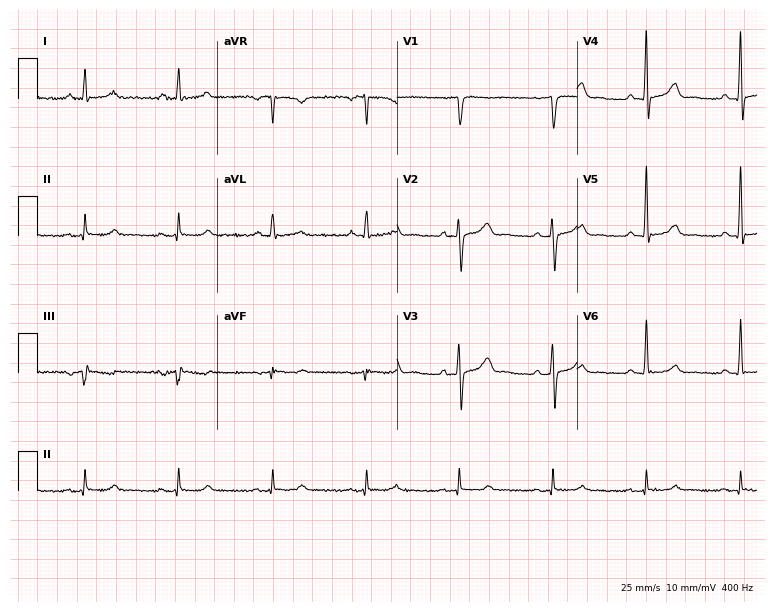
12-lead ECG from a male, 68 years old. No first-degree AV block, right bundle branch block, left bundle branch block, sinus bradycardia, atrial fibrillation or sinus tachycardia recorded for this tracing.